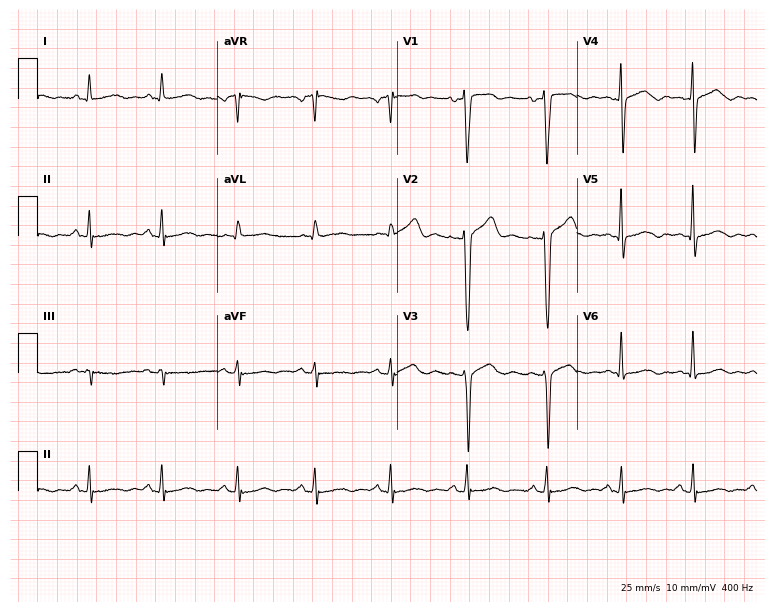
Standard 12-lead ECG recorded from a male, 66 years old. Read as a normal ECG.